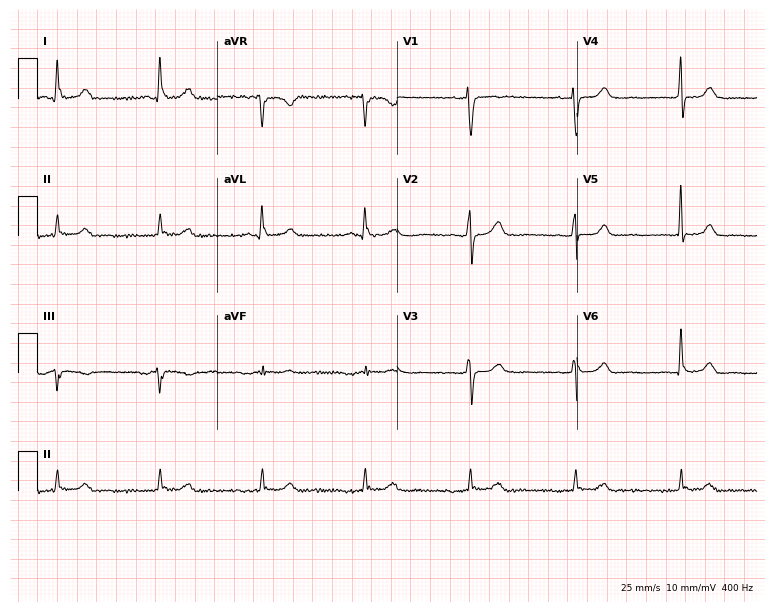
Standard 12-lead ECG recorded from a 62-year-old female patient. None of these six findings is recorded: first-degree AV block, right bundle branch block, left bundle branch block, sinus bradycardia, atrial fibrillation, sinus tachycardia. Other findings, if any, are not listed.